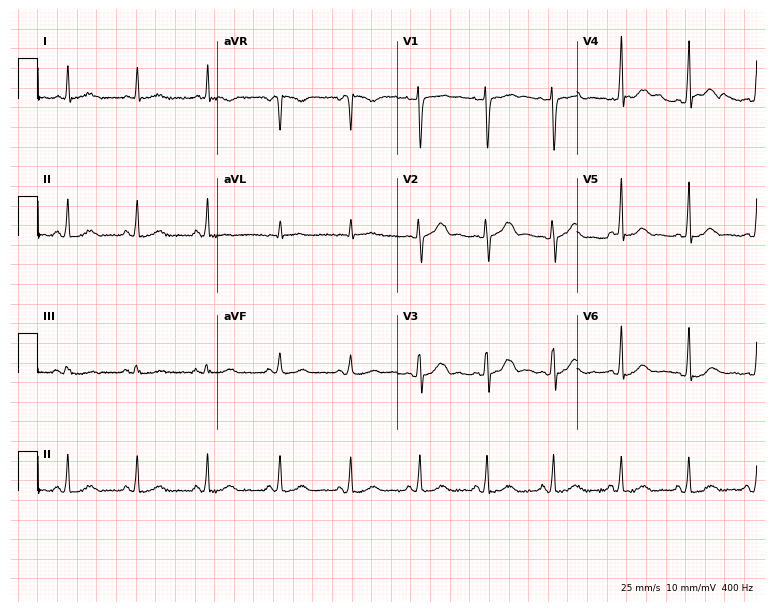
Standard 12-lead ECG recorded from a female patient, 32 years old. Read as a normal ECG.